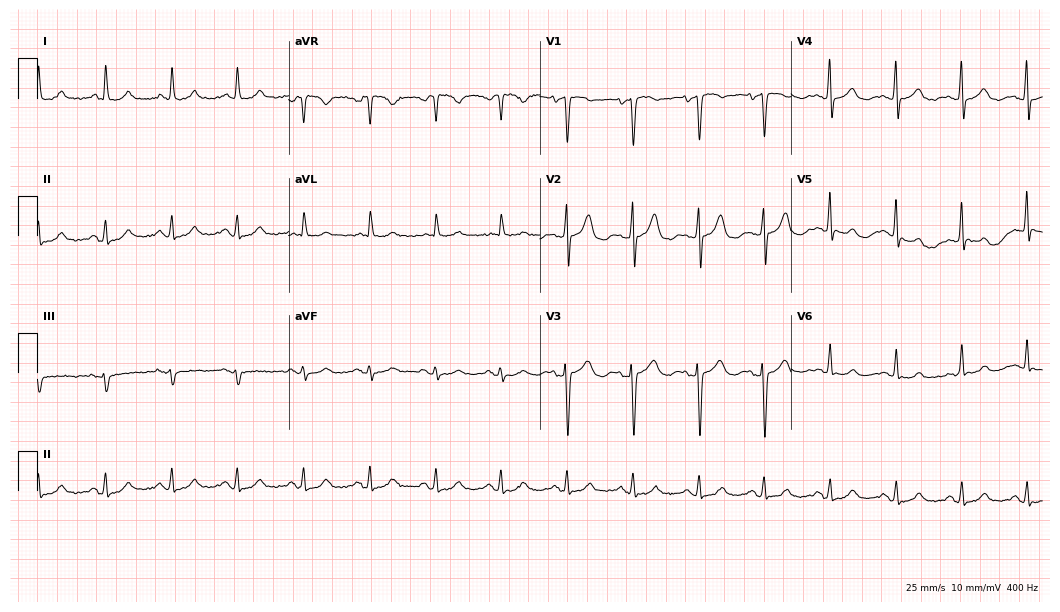
Standard 12-lead ECG recorded from a female patient, 80 years old. None of these six findings is recorded: first-degree AV block, right bundle branch block, left bundle branch block, sinus bradycardia, atrial fibrillation, sinus tachycardia.